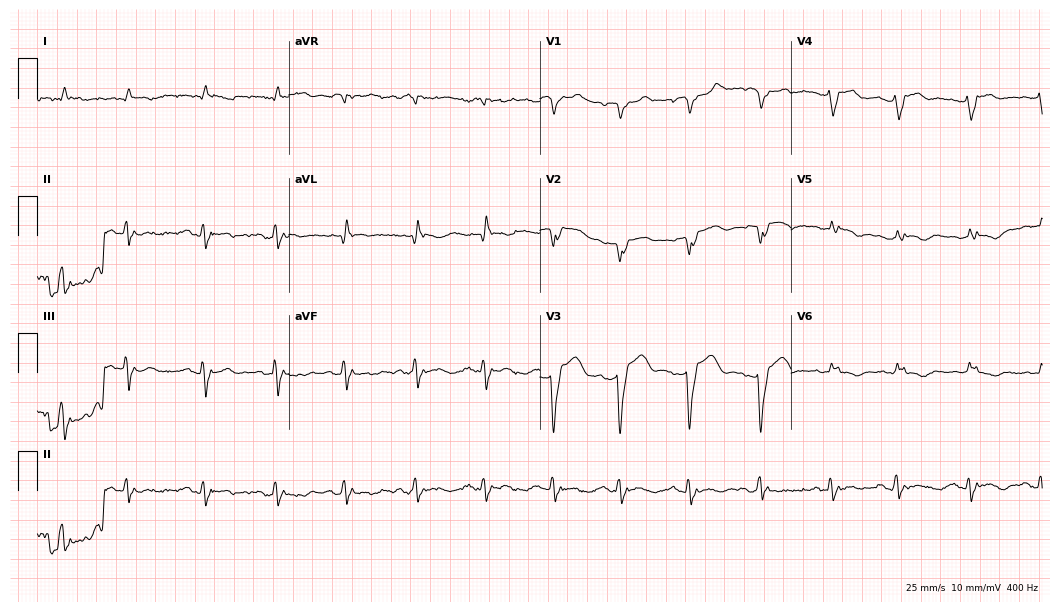
Standard 12-lead ECG recorded from a female, 83 years old (10.2-second recording at 400 Hz). The tracing shows left bundle branch block (LBBB).